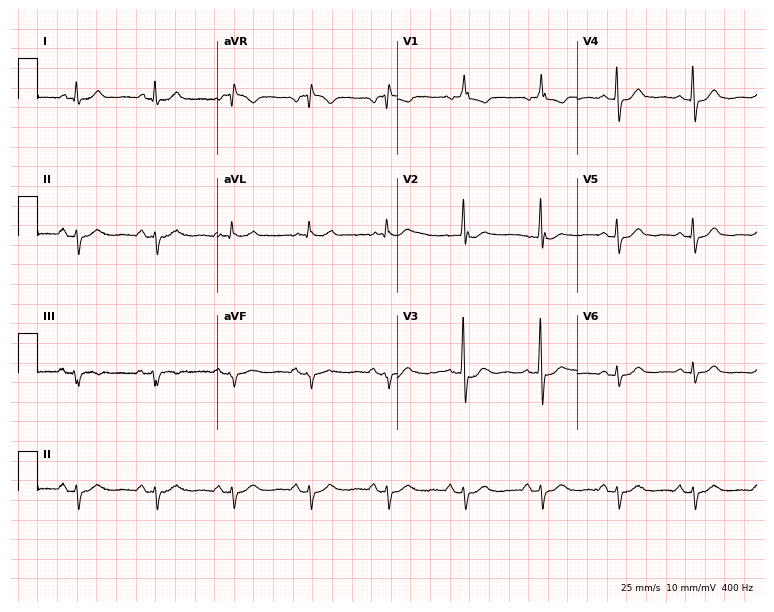
Standard 12-lead ECG recorded from a female patient, 81 years old. None of these six findings is recorded: first-degree AV block, right bundle branch block, left bundle branch block, sinus bradycardia, atrial fibrillation, sinus tachycardia. Only these six findings were labelled.